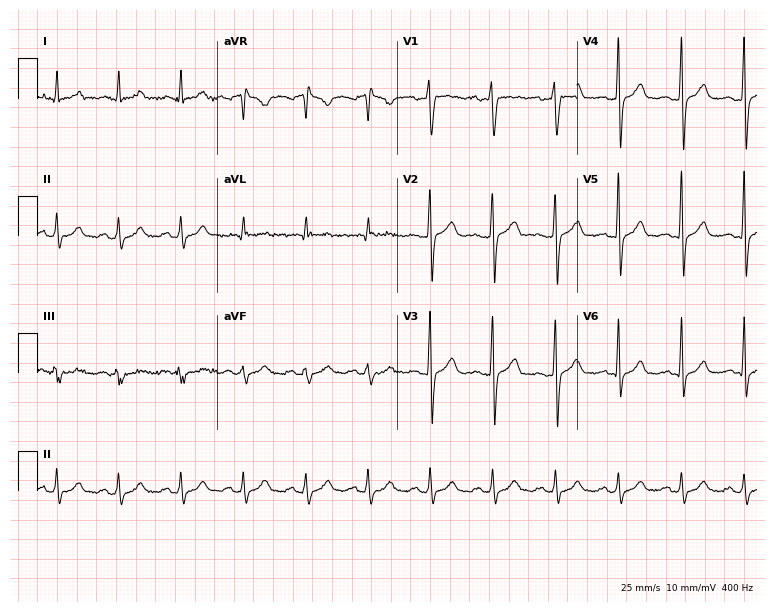
12-lead ECG from a 51-year-old male (7.3-second recording at 400 Hz). No first-degree AV block, right bundle branch block, left bundle branch block, sinus bradycardia, atrial fibrillation or sinus tachycardia recorded for this tracing. Other findings, if any, are not listed.